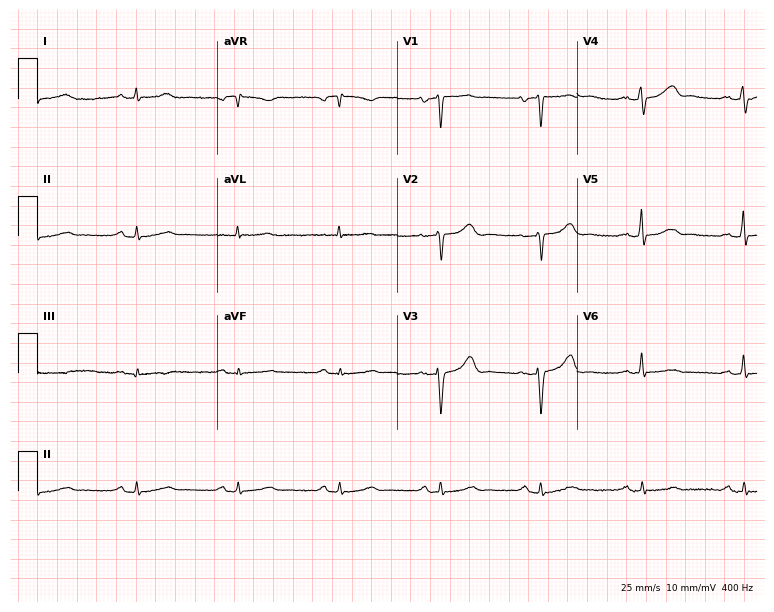
Electrocardiogram, a 58-year-old male patient. Overall reading on record: normal ECG.